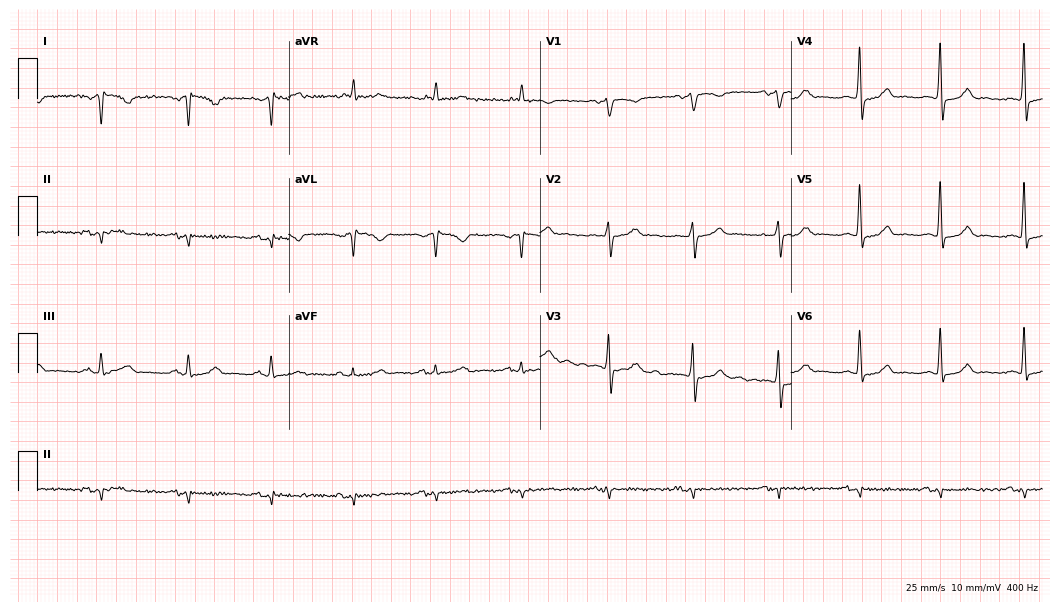
12-lead ECG (10.2-second recording at 400 Hz) from a man, 56 years old. Labelled as a normal ECG.